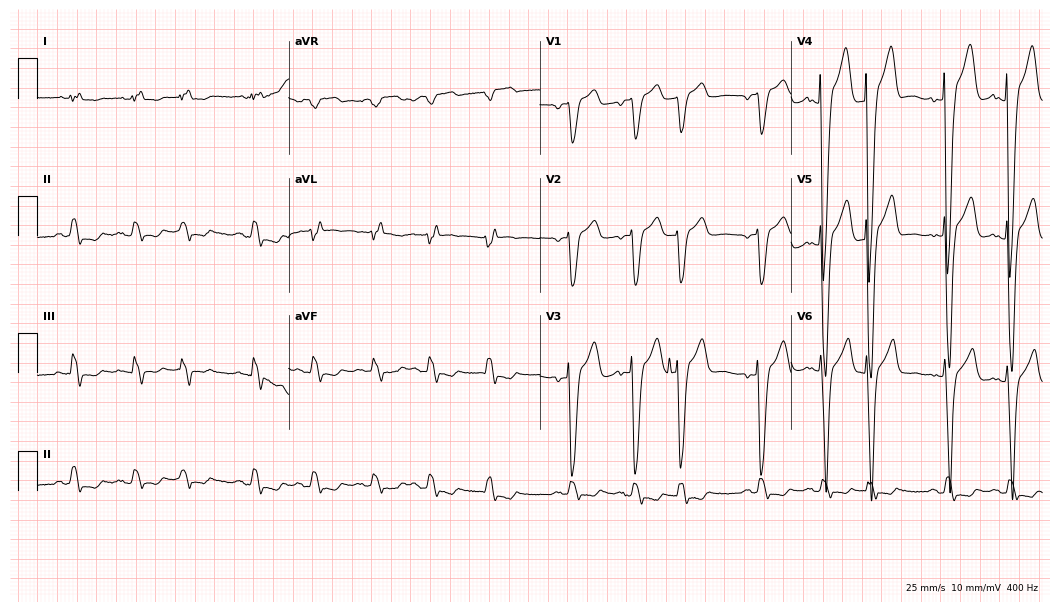
12-lead ECG from an 83-year-old man. Shows left bundle branch block (LBBB).